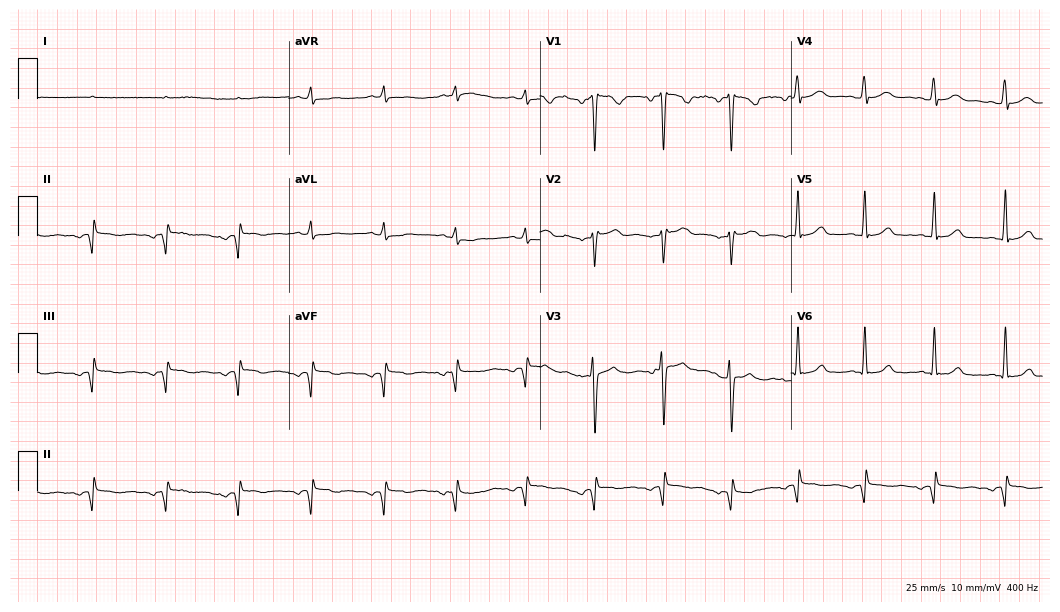
Electrocardiogram, a woman, 46 years old. Of the six screened findings (first-degree AV block, right bundle branch block, left bundle branch block, sinus bradycardia, atrial fibrillation, sinus tachycardia), none is recorded.